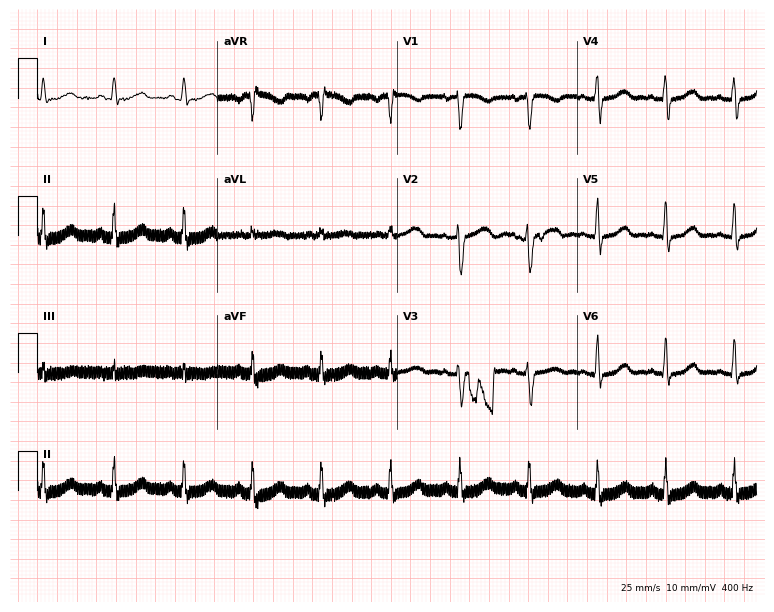
12-lead ECG from a 47-year-old female. No first-degree AV block, right bundle branch block, left bundle branch block, sinus bradycardia, atrial fibrillation or sinus tachycardia recorded for this tracing.